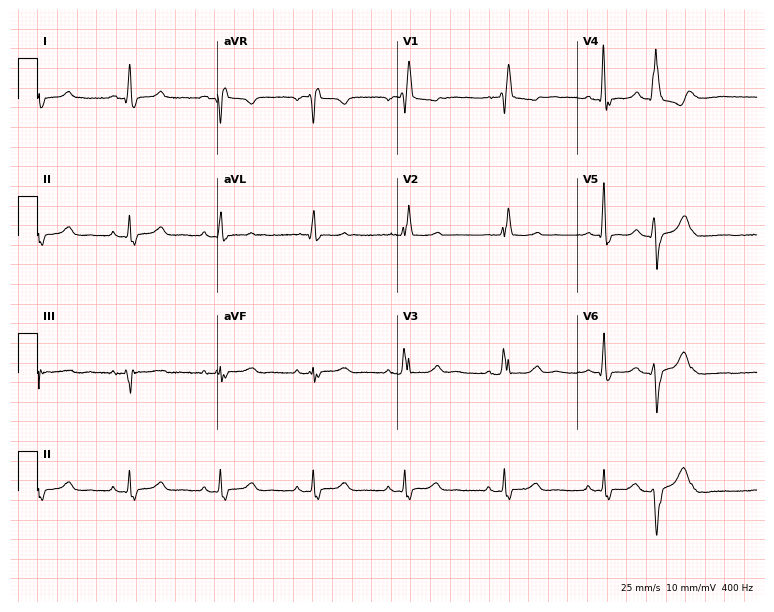
12-lead ECG from a woman, 84 years old (7.3-second recording at 400 Hz). Shows right bundle branch block.